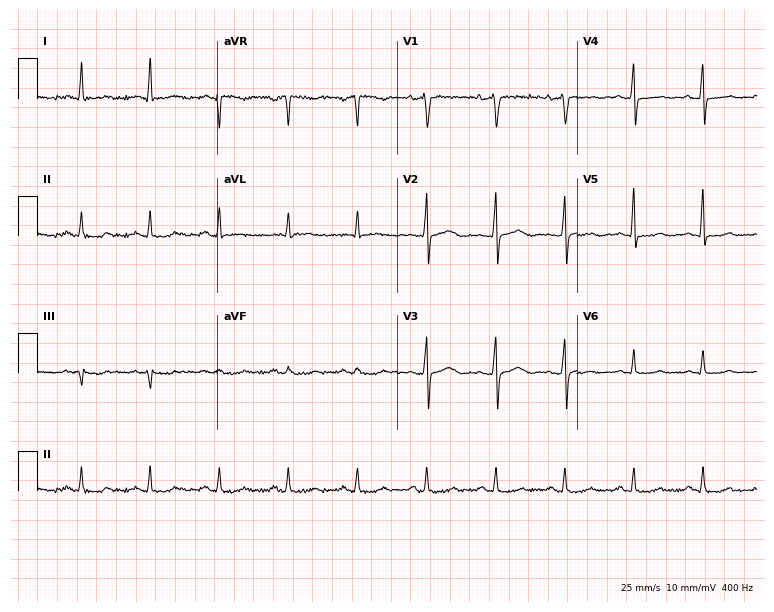
Resting 12-lead electrocardiogram. Patient: a female, 56 years old. Read as a normal ECG.